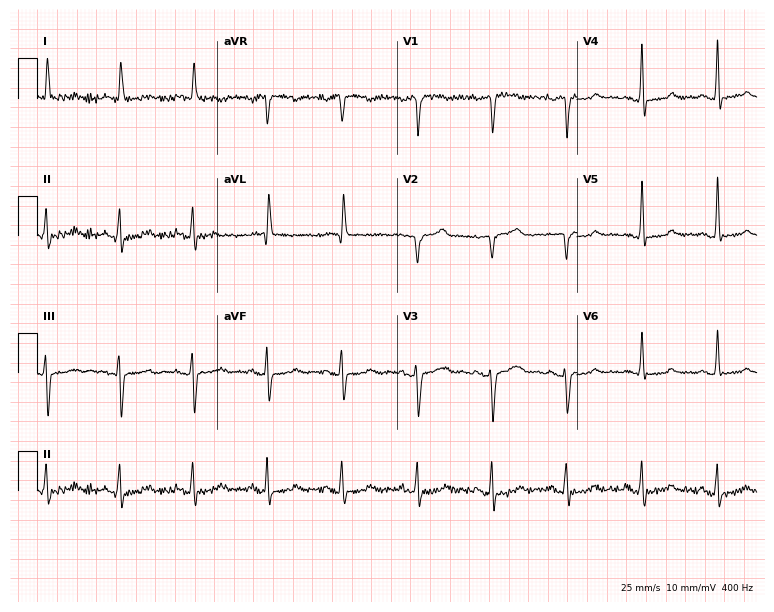
Resting 12-lead electrocardiogram. Patient: a 75-year-old woman. Read as a normal ECG.